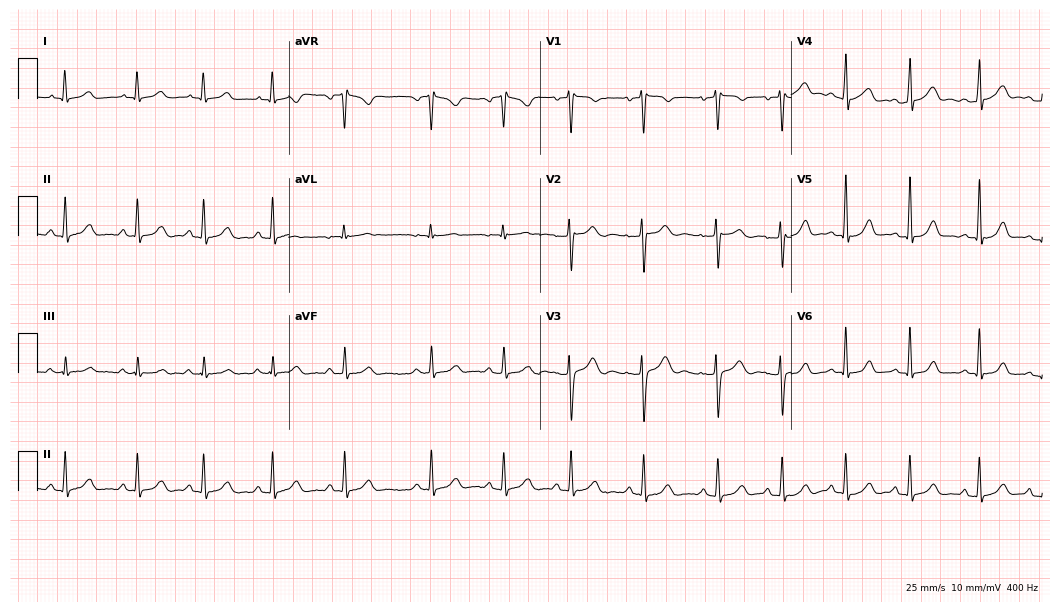
Standard 12-lead ECG recorded from an 18-year-old woman (10.2-second recording at 400 Hz). Read as a normal ECG.